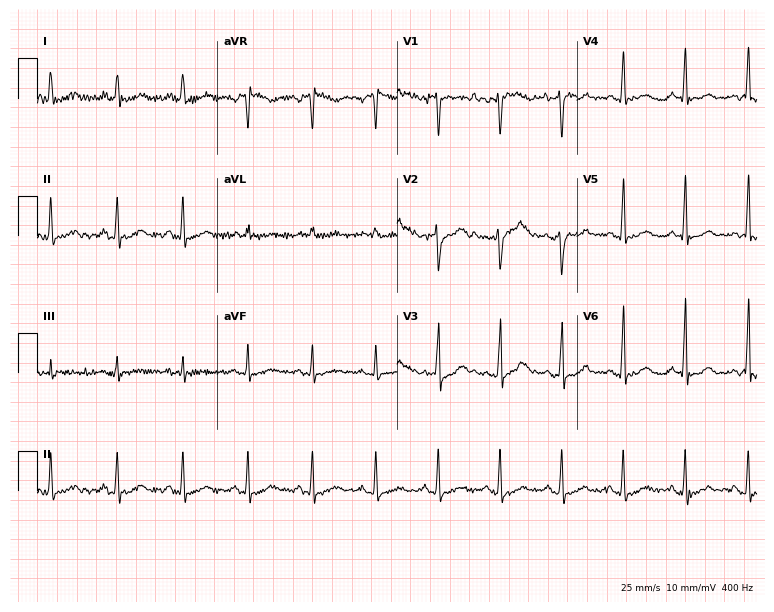
12-lead ECG from a female patient, 34 years old (7.3-second recording at 400 Hz). Recorded interpretation: within normal limits.